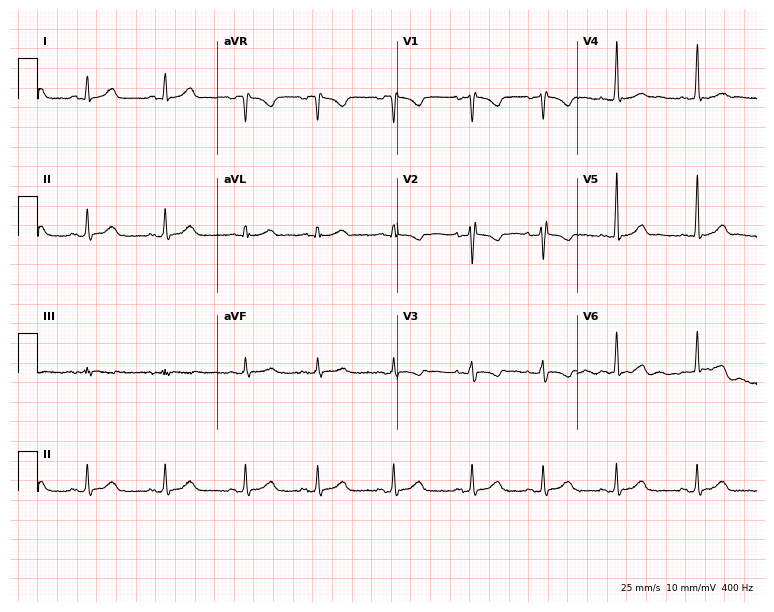
12-lead ECG from a female, 21 years old. Screened for six findings — first-degree AV block, right bundle branch block, left bundle branch block, sinus bradycardia, atrial fibrillation, sinus tachycardia — none is recorded.